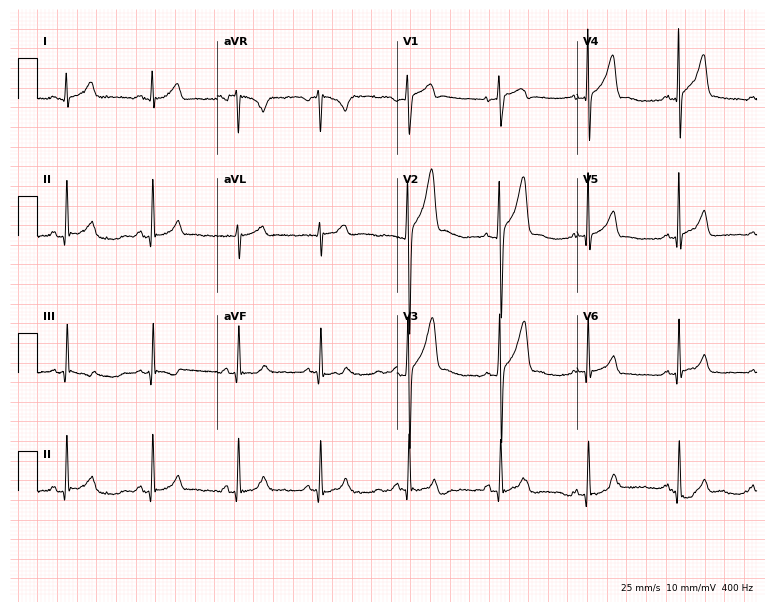
Standard 12-lead ECG recorded from a 24-year-old male (7.3-second recording at 400 Hz). None of these six findings is recorded: first-degree AV block, right bundle branch block, left bundle branch block, sinus bradycardia, atrial fibrillation, sinus tachycardia. Findings outside these six are not listed.